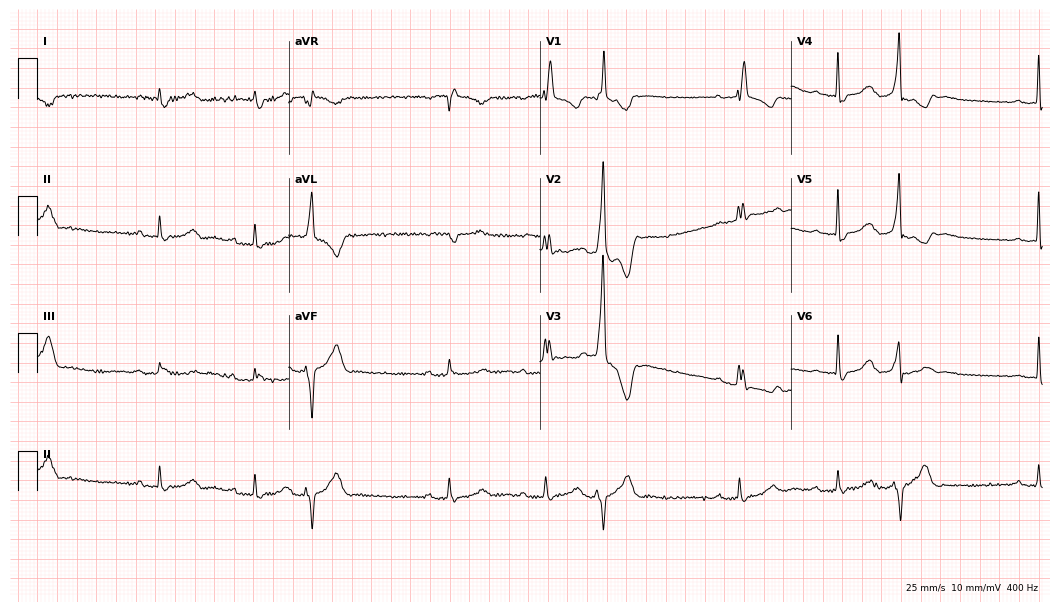
ECG — an 84-year-old woman. Findings include first-degree AV block, right bundle branch block.